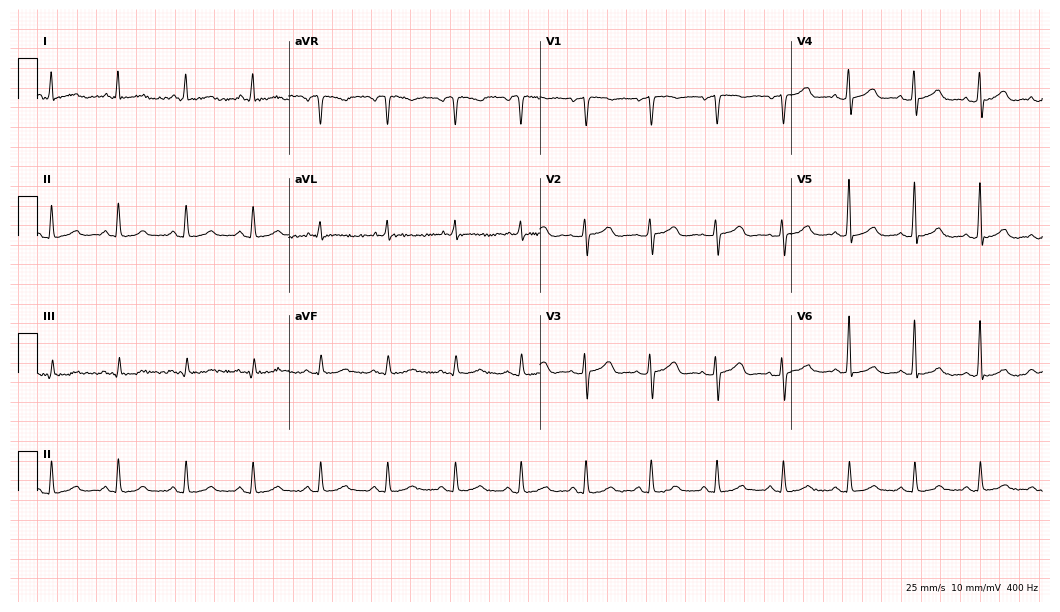
ECG — a 64-year-old female patient. Screened for six findings — first-degree AV block, right bundle branch block, left bundle branch block, sinus bradycardia, atrial fibrillation, sinus tachycardia — none is recorded. Other findings, if any, are not listed.